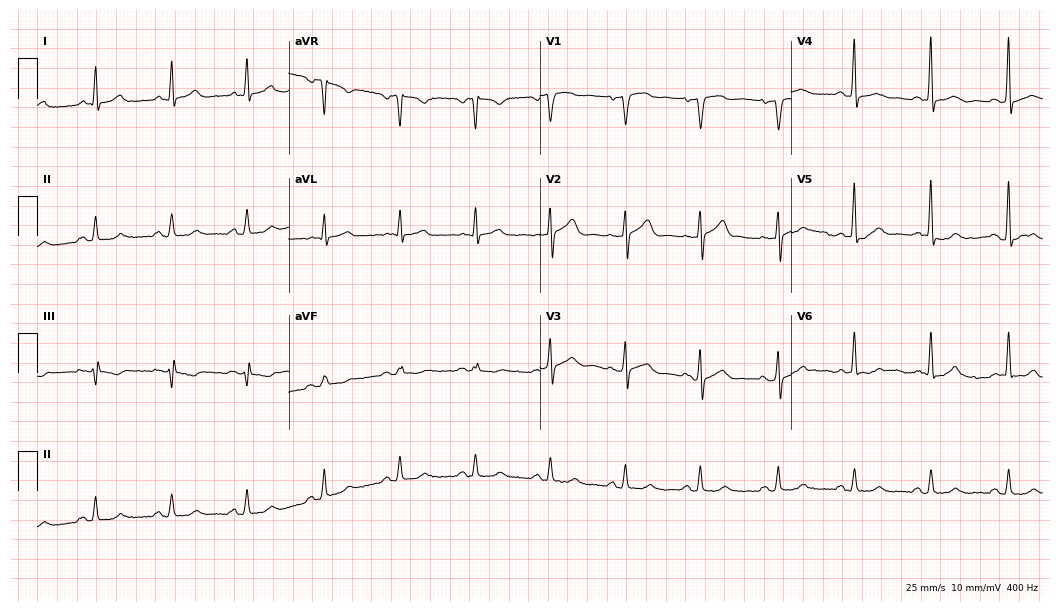
Electrocardiogram, a male, 68 years old. Overall reading on record: normal ECG.